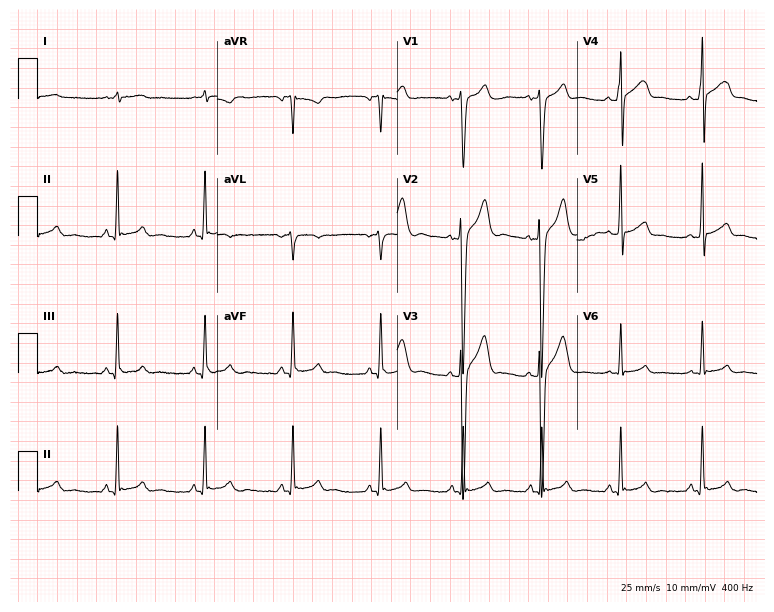
Resting 12-lead electrocardiogram (7.3-second recording at 400 Hz). Patient: a 20-year-old male. Read as a normal ECG.